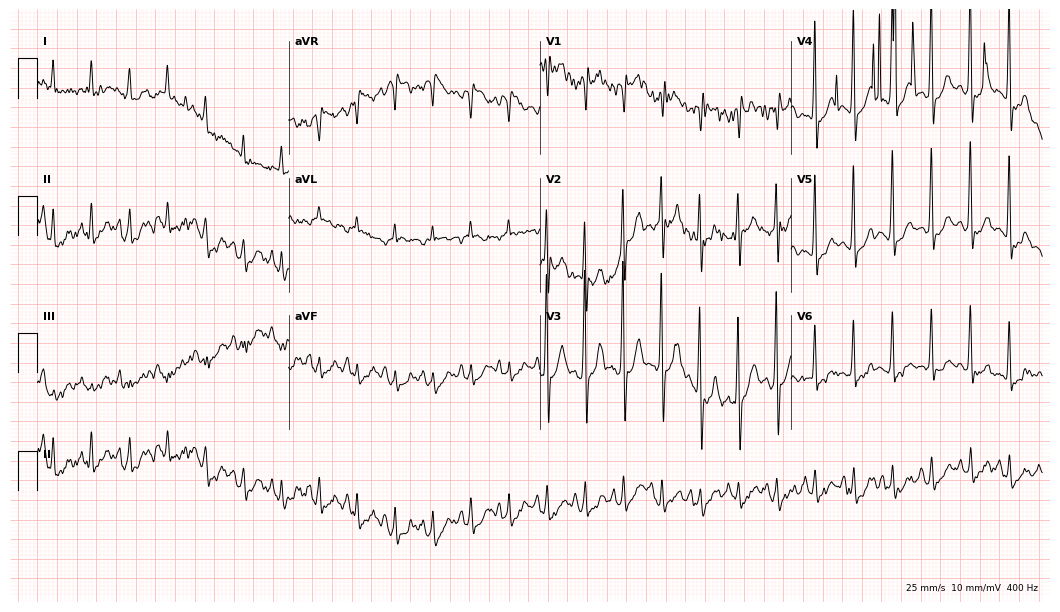
Resting 12-lead electrocardiogram (10.2-second recording at 400 Hz). Patient: a man, 57 years old. The tracing shows sinus tachycardia (a sinus rate of 100 beats per minute or more).